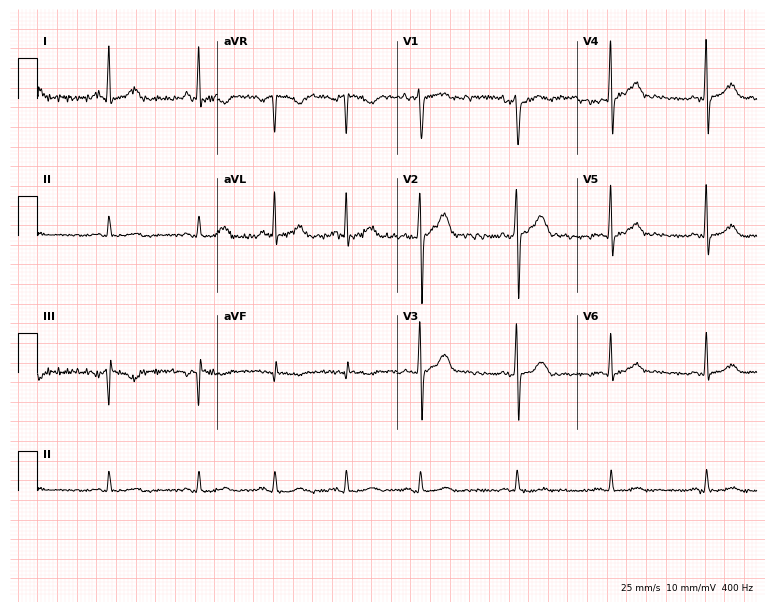
Electrocardiogram (7.3-second recording at 400 Hz), a man, 43 years old. Overall reading on record: normal ECG.